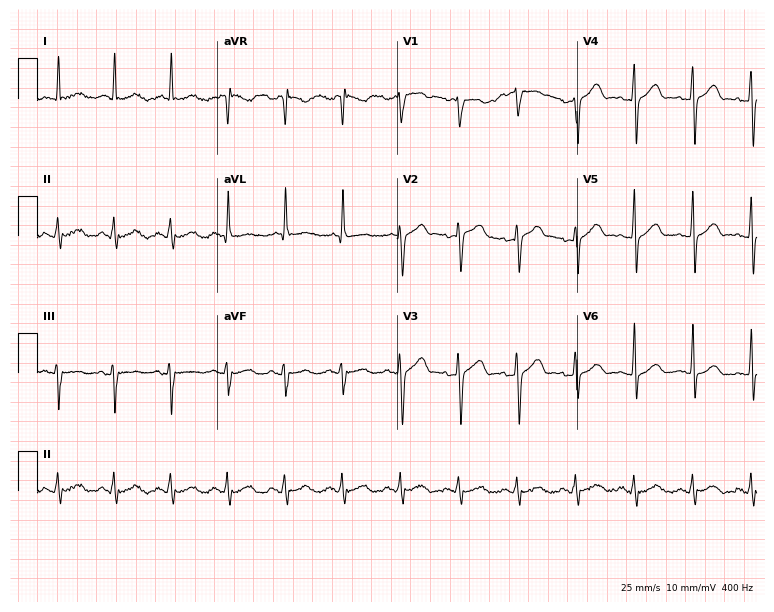
Resting 12-lead electrocardiogram (7.3-second recording at 400 Hz). Patient: a 60-year-old male. The tracing shows sinus tachycardia (a sinus rate of 100 beats per minute or more).